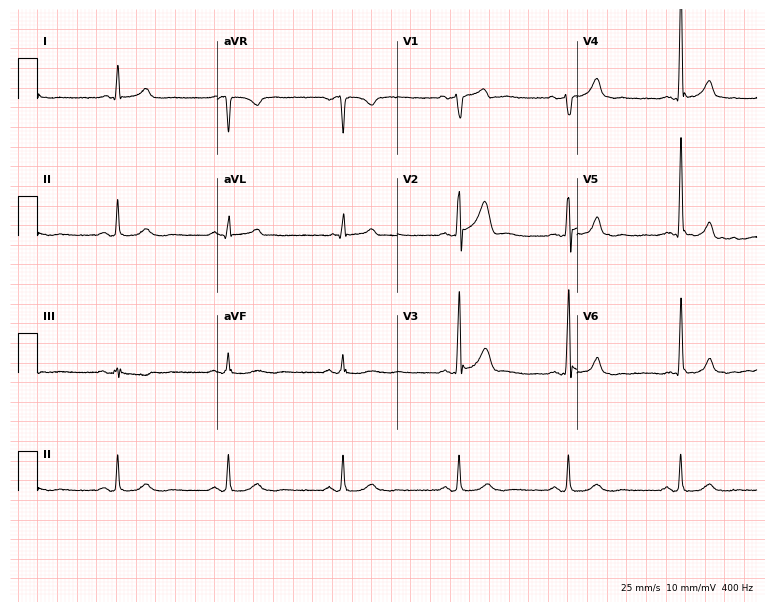
12-lead ECG from a 50-year-old male patient (7.3-second recording at 400 Hz). Recorded interpretation: within normal limits.